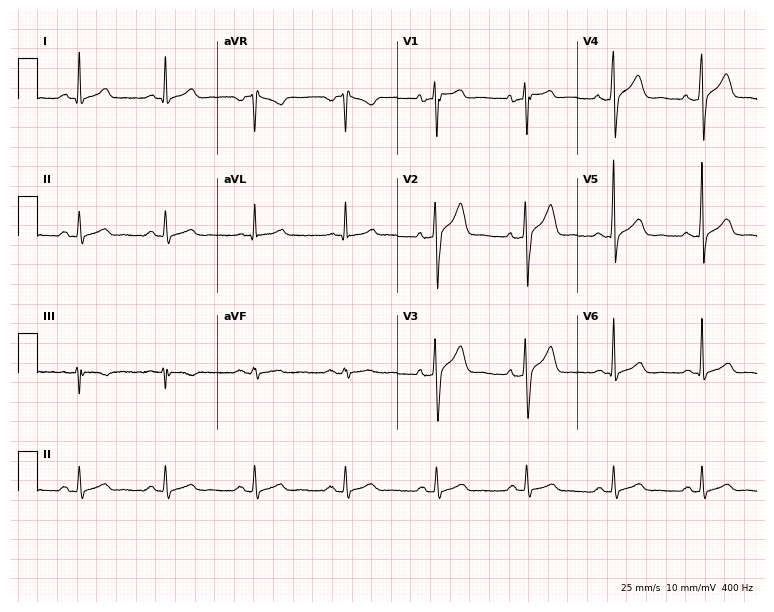
12-lead ECG from a male, 42 years old. Recorded interpretation: within normal limits.